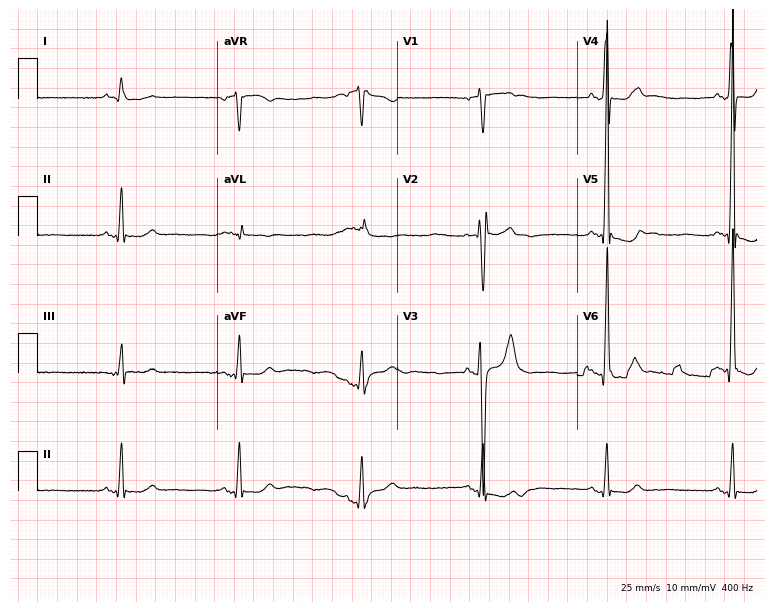
12-lead ECG from a man, 66 years old. Screened for six findings — first-degree AV block, right bundle branch block (RBBB), left bundle branch block (LBBB), sinus bradycardia, atrial fibrillation (AF), sinus tachycardia — none is recorded.